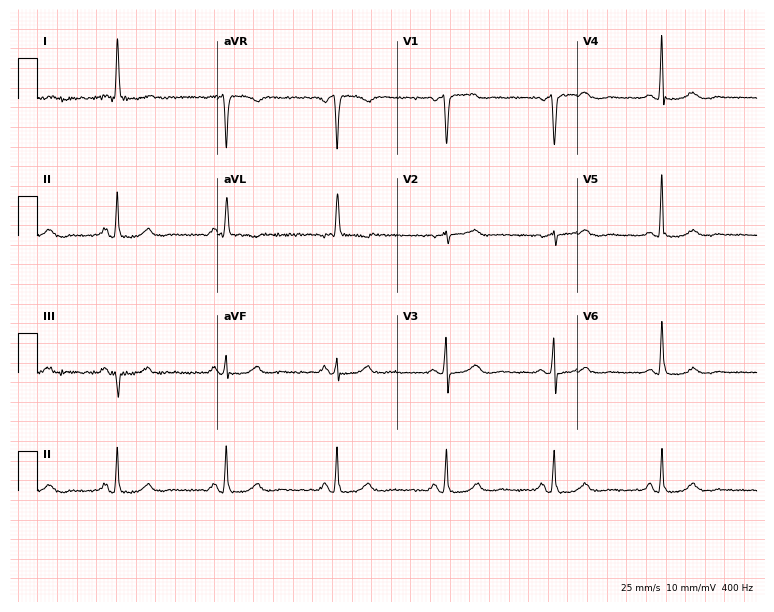
12-lead ECG from a woman, 61 years old. Screened for six findings — first-degree AV block, right bundle branch block, left bundle branch block, sinus bradycardia, atrial fibrillation, sinus tachycardia — none is recorded.